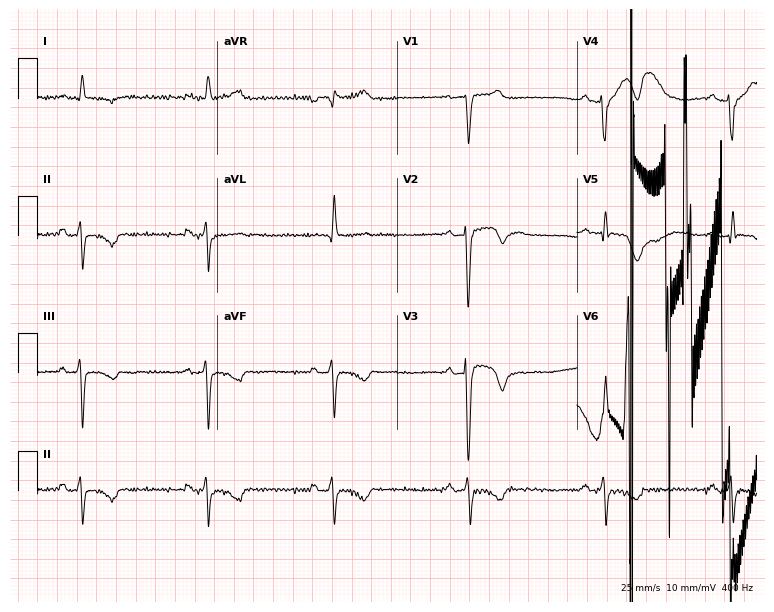
ECG (7.3-second recording at 400 Hz) — a 57-year-old male. Screened for six findings — first-degree AV block, right bundle branch block, left bundle branch block, sinus bradycardia, atrial fibrillation, sinus tachycardia — none is recorded. Findings outside these six are not listed.